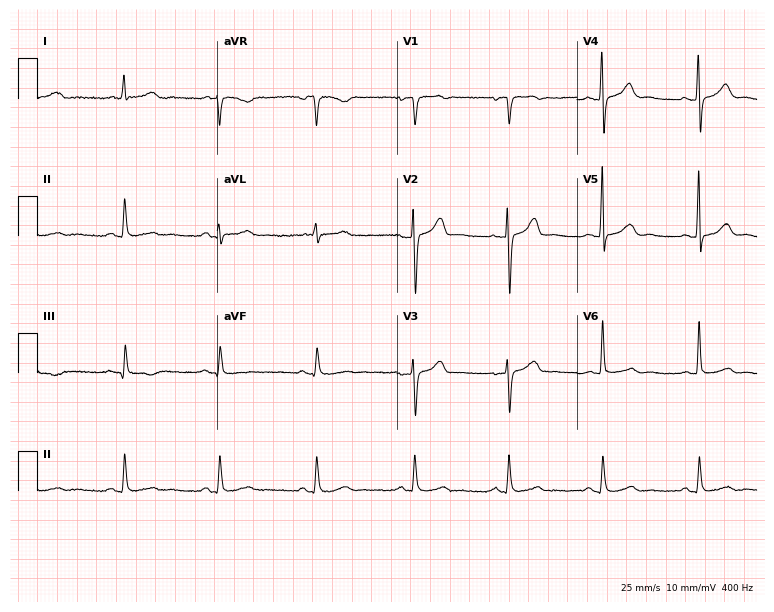
Electrocardiogram, a male patient, 65 years old. Overall reading on record: normal ECG.